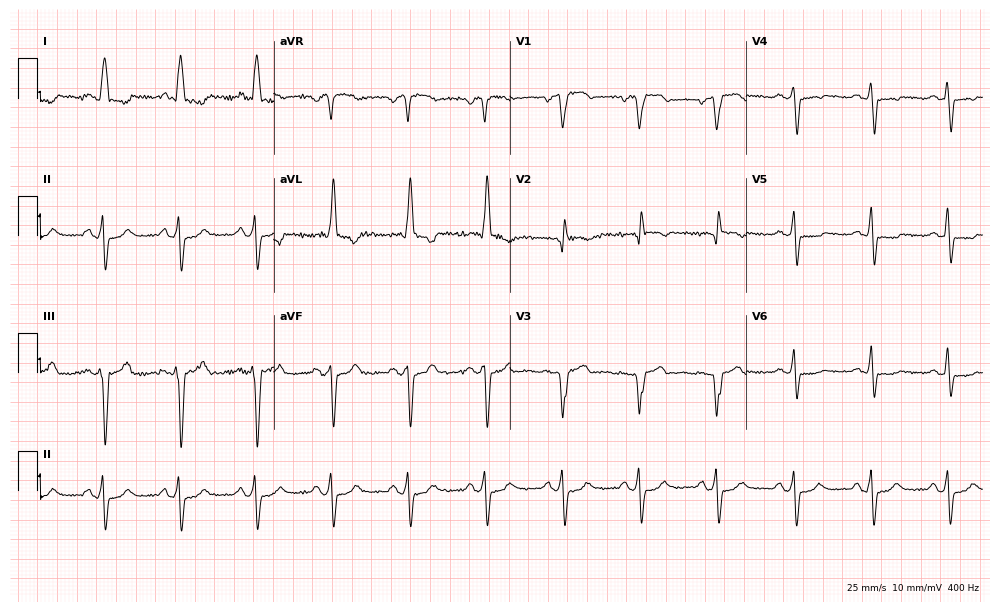
Standard 12-lead ECG recorded from a woman, 74 years old (9.6-second recording at 400 Hz). None of these six findings is recorded: first-degree AV block, right bundle branch block, left bundle branch block, sinus bradycardia, atrial fibrillation, sinus tachycardia. Findings outside these six are not listed.